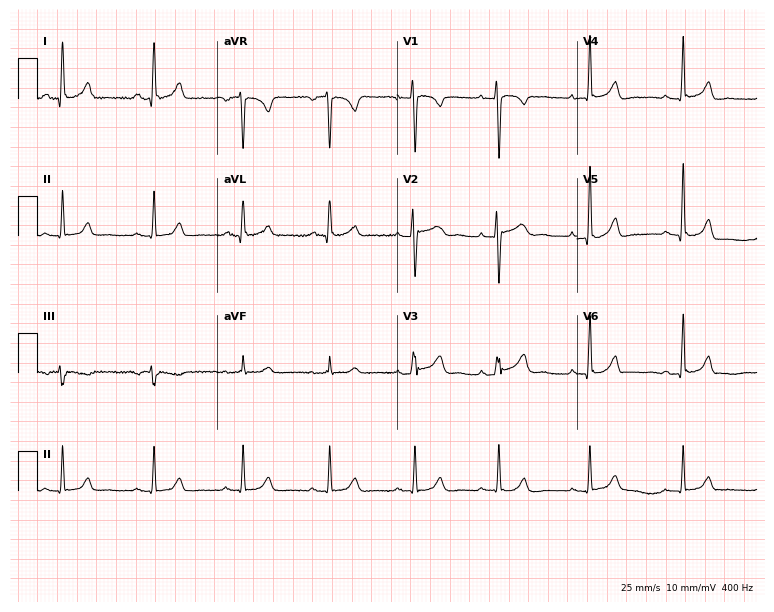
Standard 12-lead ECG recorded from a female, 35 years old (7.3-second recording at 400 Hz). Read as a normal ECG.